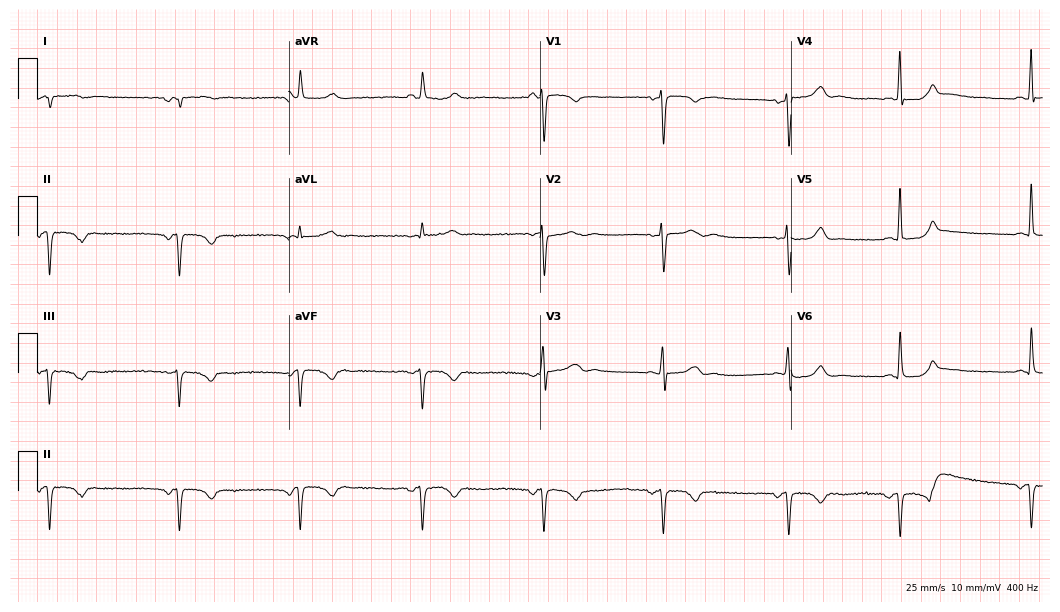
12-lead ECG from a 46-year-old female patient. Screened for six findings — first-degree AV block, right bundle branch block, left bundle branch block, sinus bradycardia, atrial fibrillation, sinus tachycardia — none is recorded. Other findings, if any, are not listed.